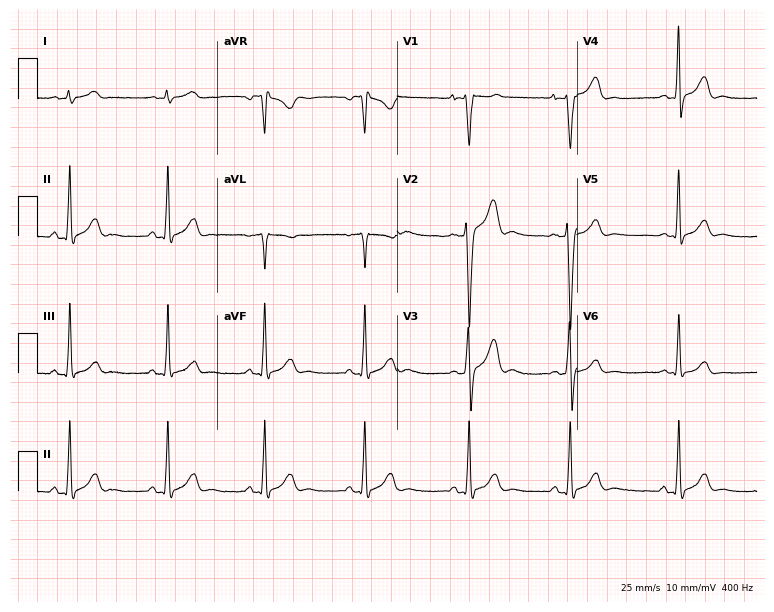
12-lead ECG (7.3-second recording at 400 Hz) from a 19-year-old male. Screened for six findings — first-degree AV block, right bundle branch block, left bundle branch block, sinus bradycardia, atrial fibrillation, sinus tachycardia — none is recorded.